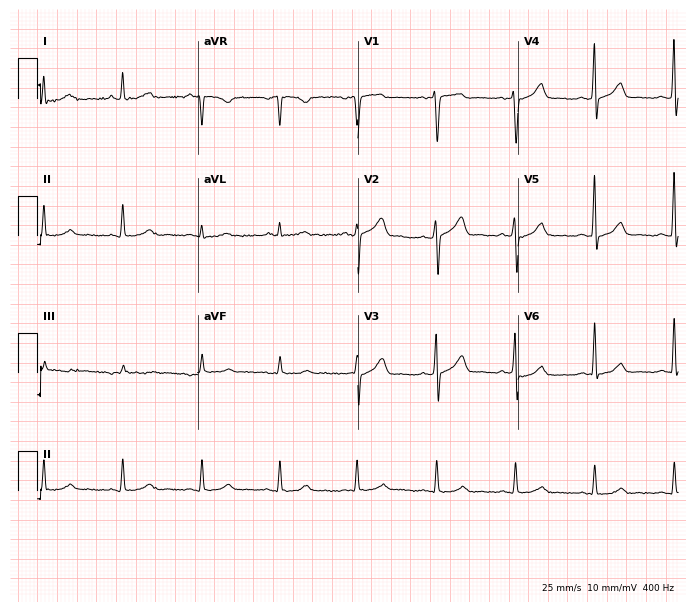
Electrocardiogram, a 58-year-old male. Of the six screened findings (first-degree AV block, right bundle branch block, left bundle branch block, sinus bradycardia, atrial fibrillation, sinus tachycardia), none is recorded.